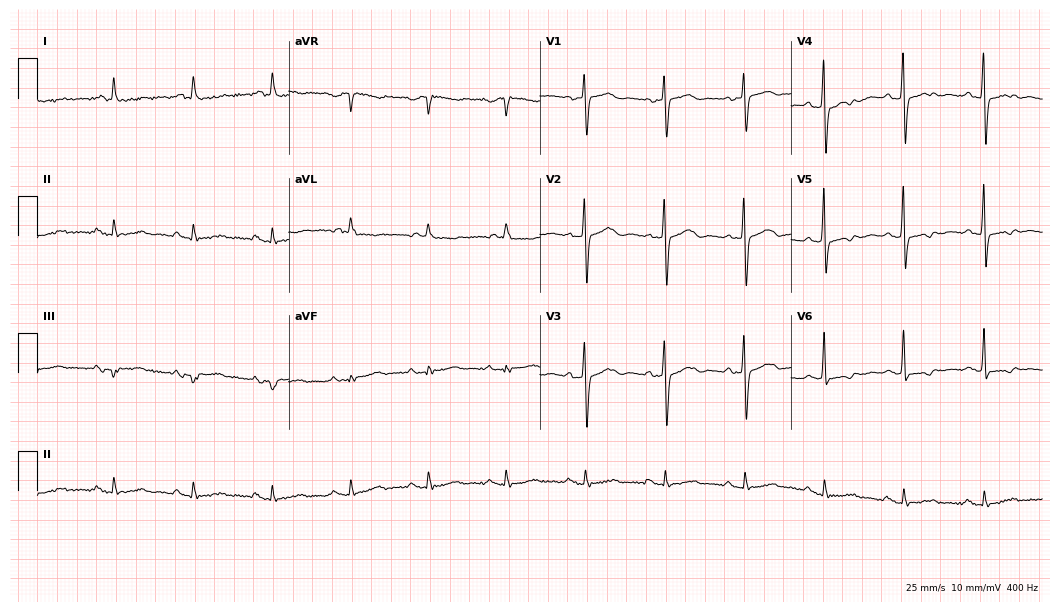
Standard 12-lead ECG recorded from a female patient, 80 years old. None of these six findings is recorded: first-degree AV block, right bundle branch block (RBBB), left bundle branch block (LBBB), sinus bradycardia, atrial fibrillation (AF), sinus tachycardia. Only these six findings were labelled.